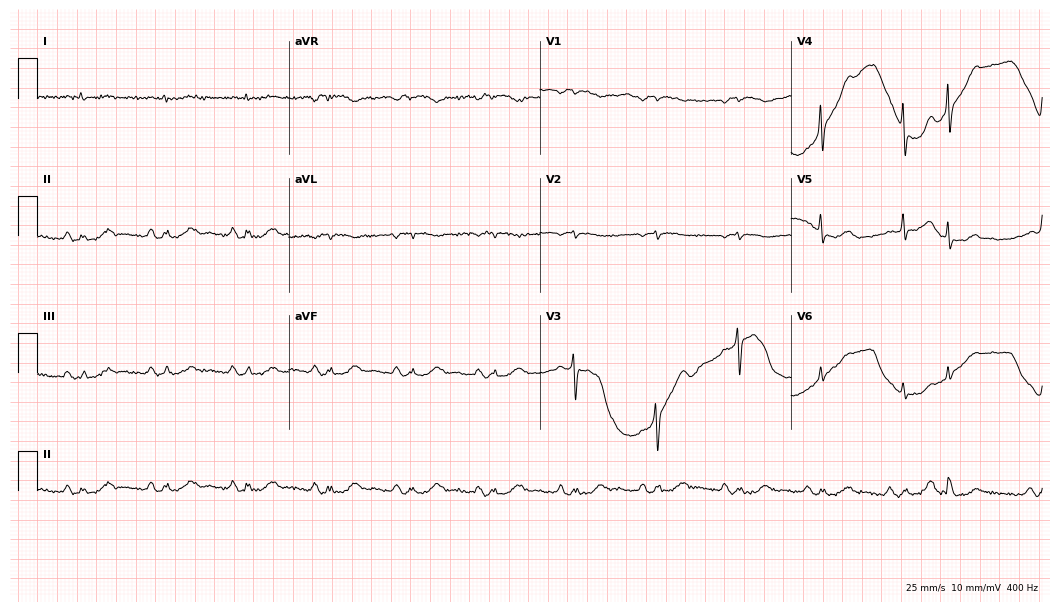
12-lead ECG (10.2-second recording at 400 Hz) from a man, 81 years old. Screened for six findings — first-degree AV block, right bundle branch block (RBBB), left bundle branch block (LBBB), sinus bradycardia, atrial fibrillation (AF), sinus tachycardia — none is recorded.